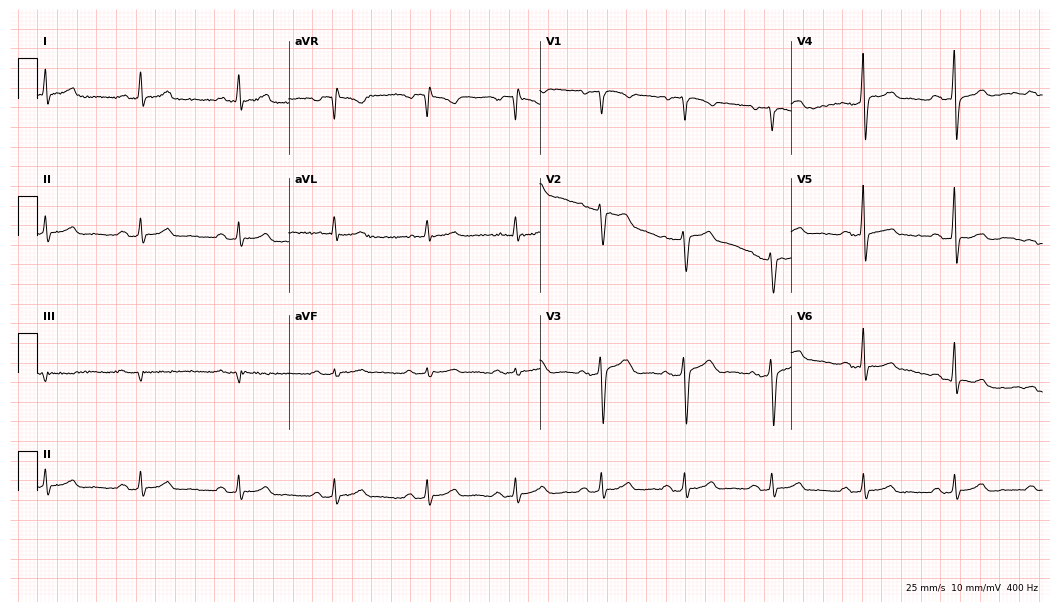
Resting 12-lead electrocardiogram. Patient: a 66-year-old man. None of these six findings is recorded: first-degree AV block, right bundle branch block, left bundle branch block, sinus bradycardia, atrial fibrillation, sinus tachycardia.